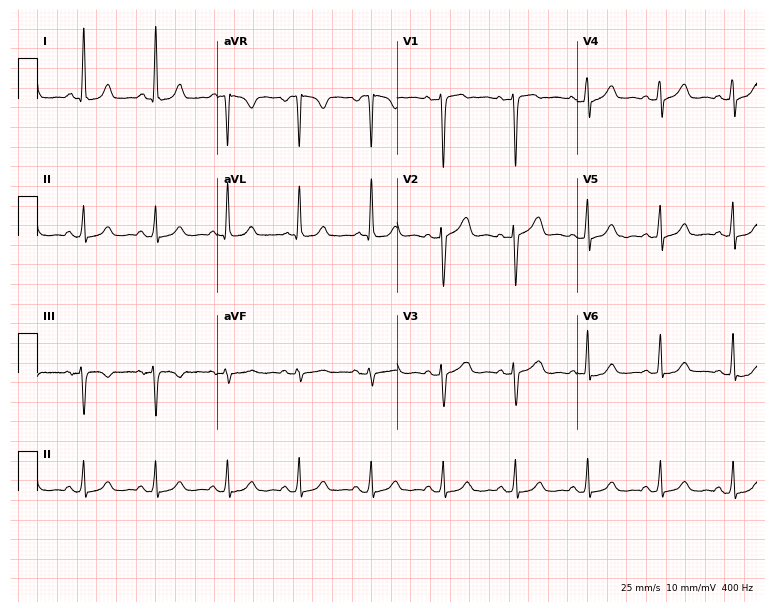
ECG — a female, 46 years old. Labelled as a normal ECG.